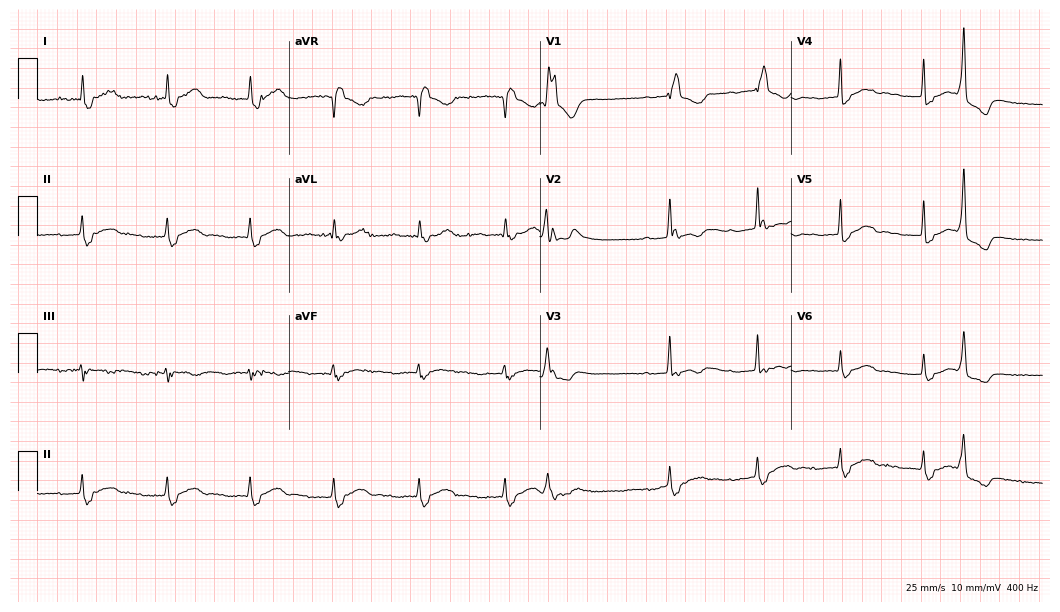
Resting 12-lead electrocardiogram. Patient: a female, 76 years old. The tracing shows right bundle branch block, atrial fibrillation.